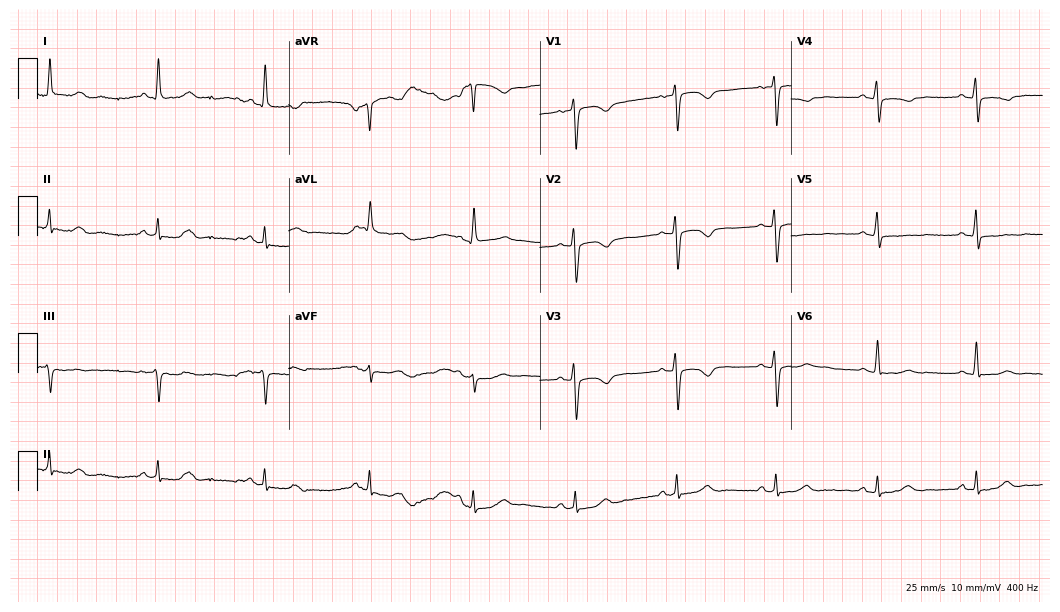
12-lead ECG from a female, 59 years old. Screened for six findings — first-degree AV block, right bundle branch block, left bundle branch block, sinus bradycardia, atrial fibrillation, sinus tachycardia — none is recorded. Only these six findings were labelled.